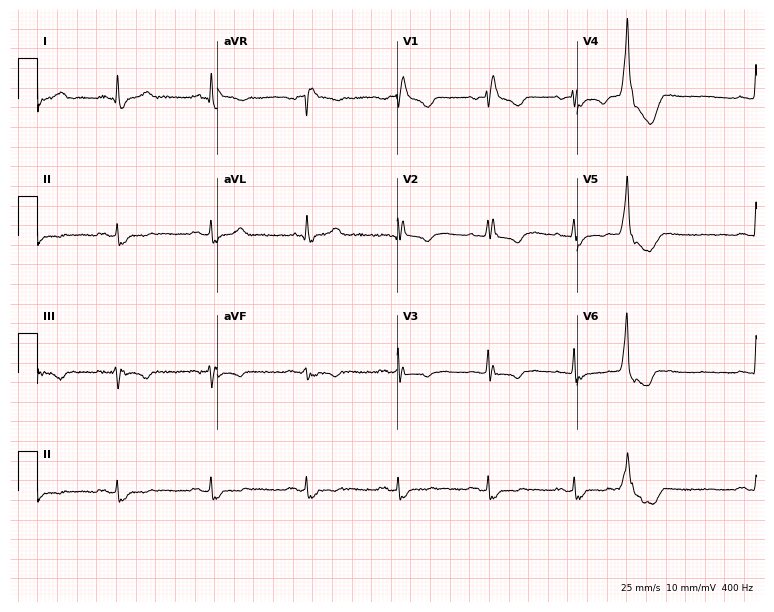
Resting 12-lead electrocardiogram (7.3-second recording at 400 Hz). Patient: a 54-year-old female. None of these six findings is recorded: first-degree AV block, right bundle branch block, left bundle branch block, sinus bradycardia, atrial fibrillation, sinus tachycardia. Other findings, if any, are not listed.